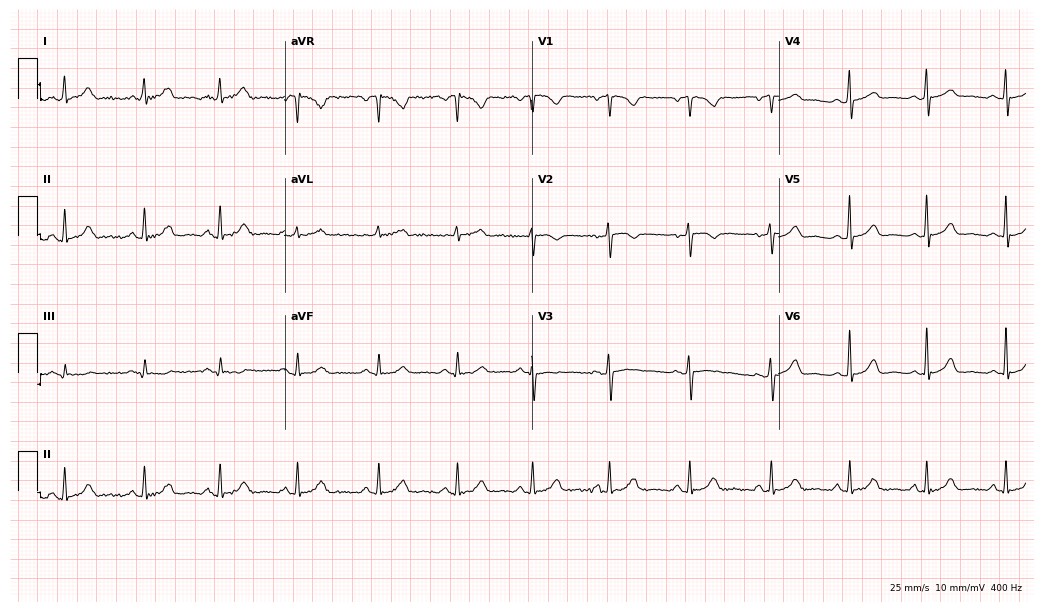
Resting 12-lead electrocardiogram. Patient: a 34-year-old female. Read as a normal ECG.